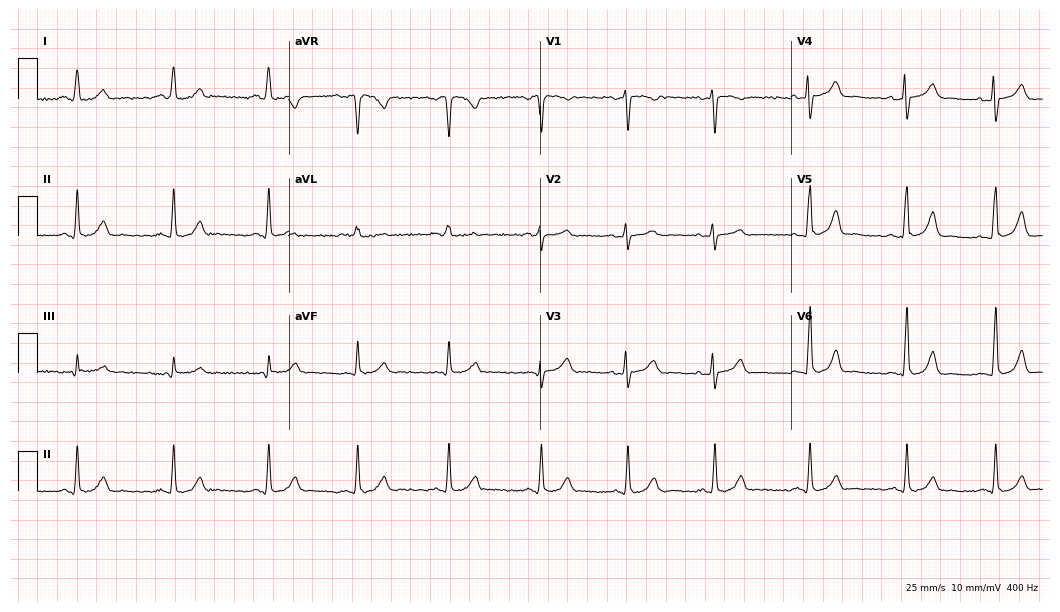
12-lead ECG from a female, 33 years old. Labelled as a normal ECG.